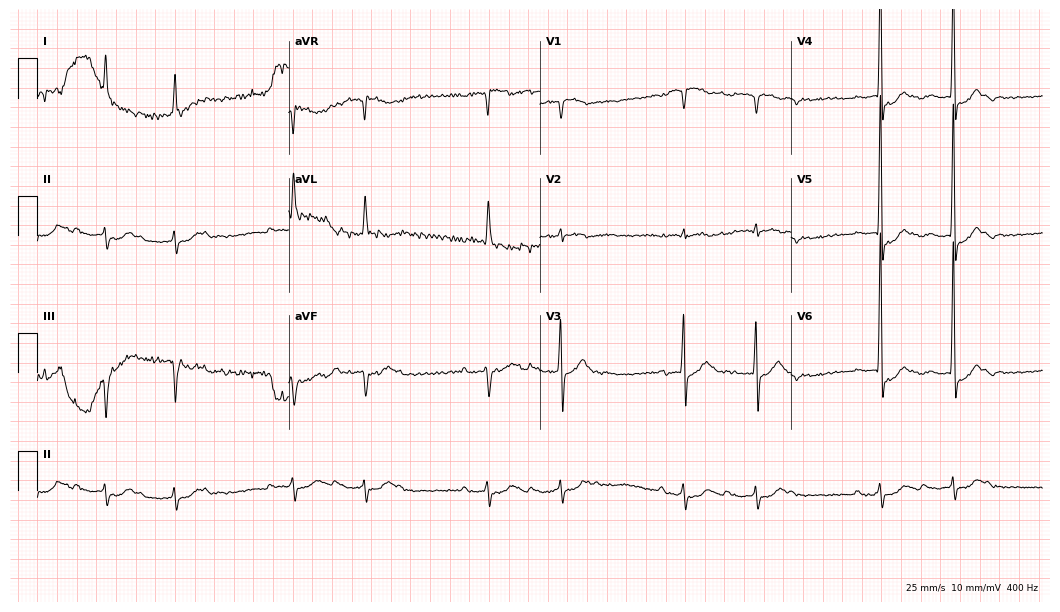
ECG — a male patient, 80 years old. Screened for six findings — first-degree AV block, right bundle branch block (RBBB), left bundle branch block (LBBB), sinus bradycardia, atrial fibrillation (AF), sinus tachycardia — none is recorded. Only these six findings were labelled.